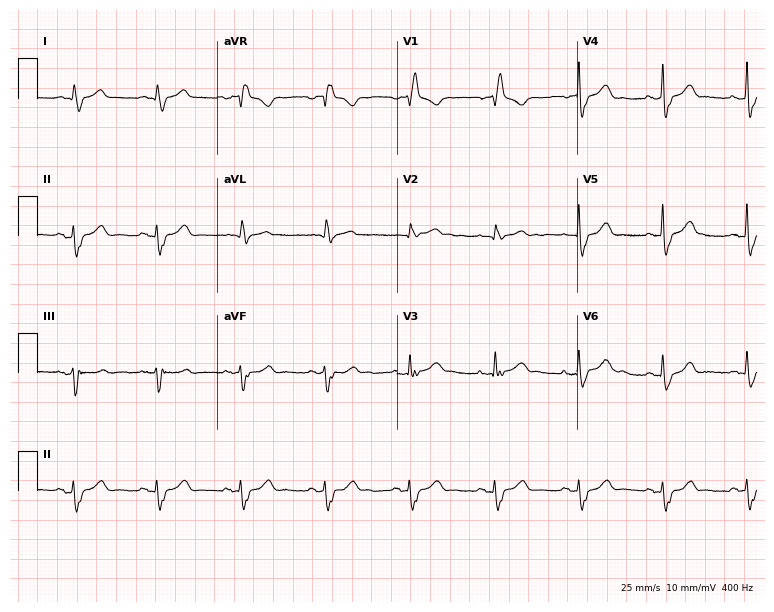
12-lead ECG from a man, 80 years old (7.3-second recording at 400 Hz). Shows right bundle branch block.